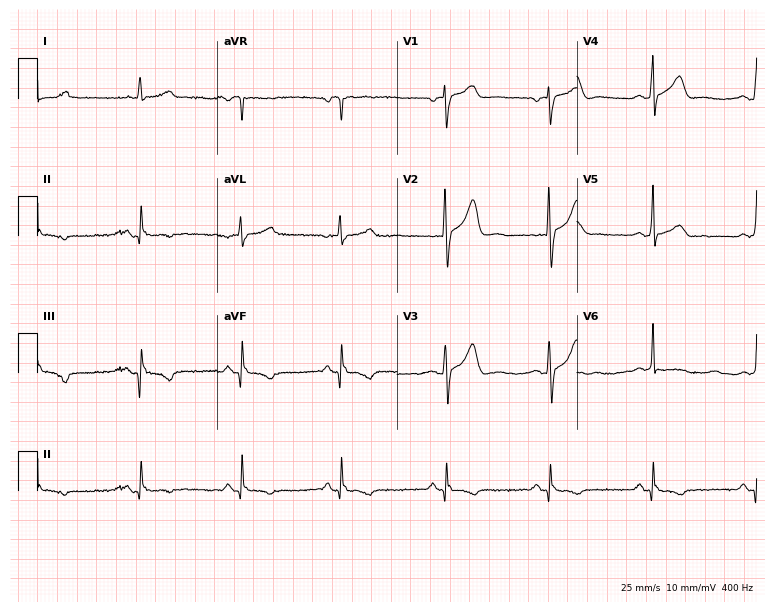
Standard 12-lead ECG recorded from a man, 63 years old. None of these six findings is recorded: first-degree AV block, right bundle branch block (RBBB), left bundle branch block (LBBB), sinus bradycardia, atrial fibrillation (AF), sinus tachycardia.